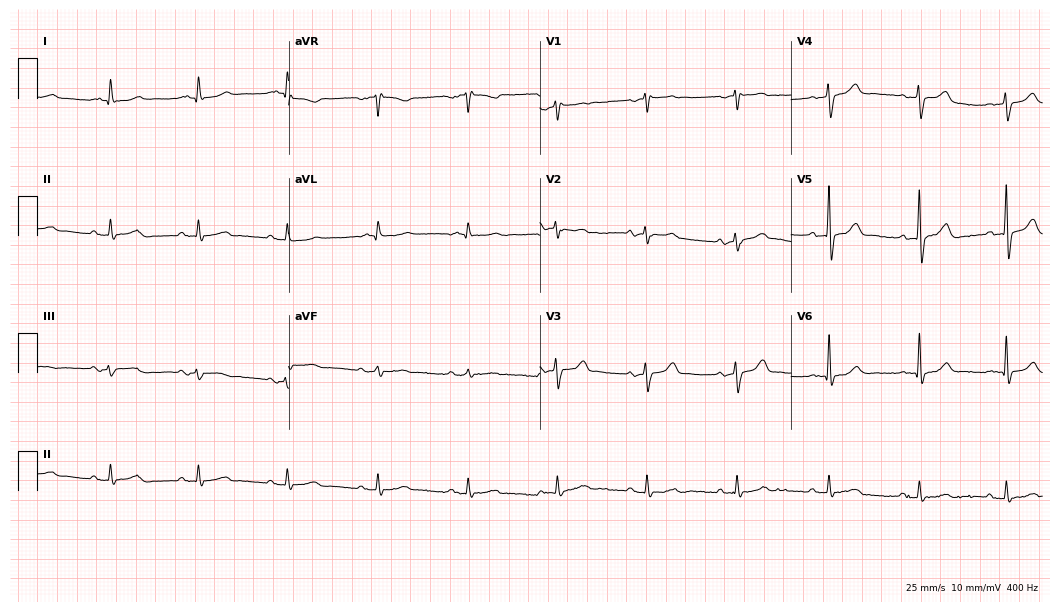
ECG — a man, 52 years old. Screened for six findings — first-degree AV block, right bundle branch block (RBBB), left bundle branch block (LBBB), sinus bradycardia, atrial fibrillation (AF), sinus tachycardia — none is recorded. Findings outside these six are not listed.